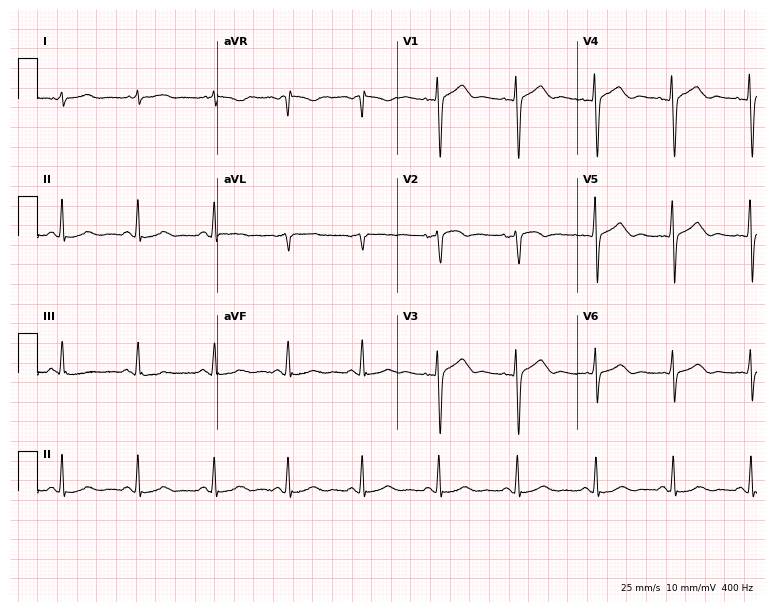
Electrocardiogram (7.3-second recording at 400 Hz), a female, 57 years old. Of the six screened findings (first-degree AV block, right bundle branch block, left bundle branch block, sinus bradycardia, atrial fibrillation, sinus tachycardia), none is recorded. Findings outside these six are not listed.